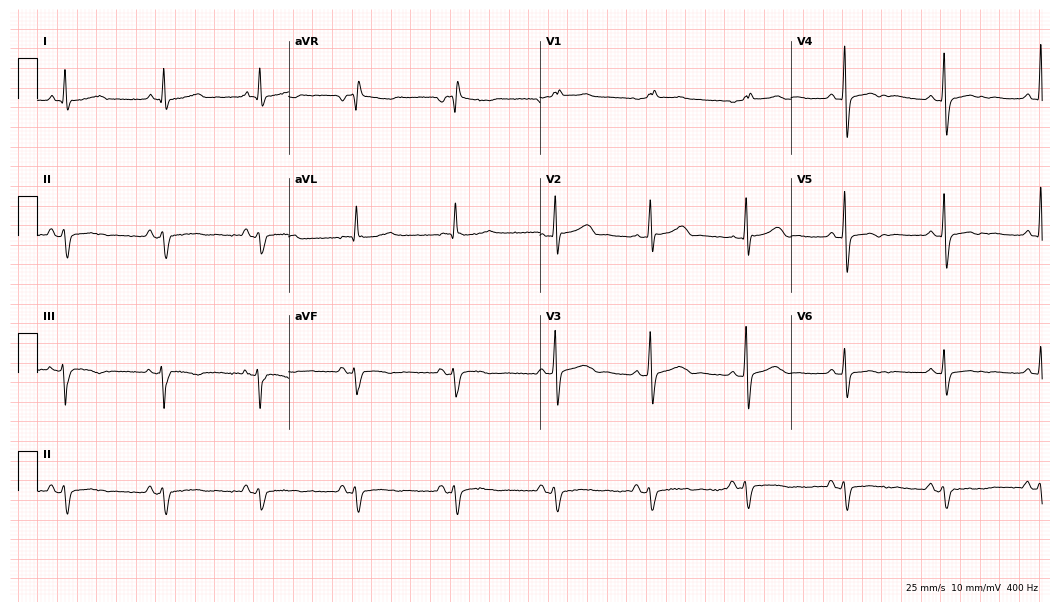
Standard 12-lead ECG recorded from a 63-year-old woman (10.2-second recording at 400 Hz). None of these six findings is recorded: first-degree AV block, right bundle branch block (RBBB), left bundle branch block (LBBB), sinus bradycardia, atrial fibrillation (AF), sinus tachycardia.